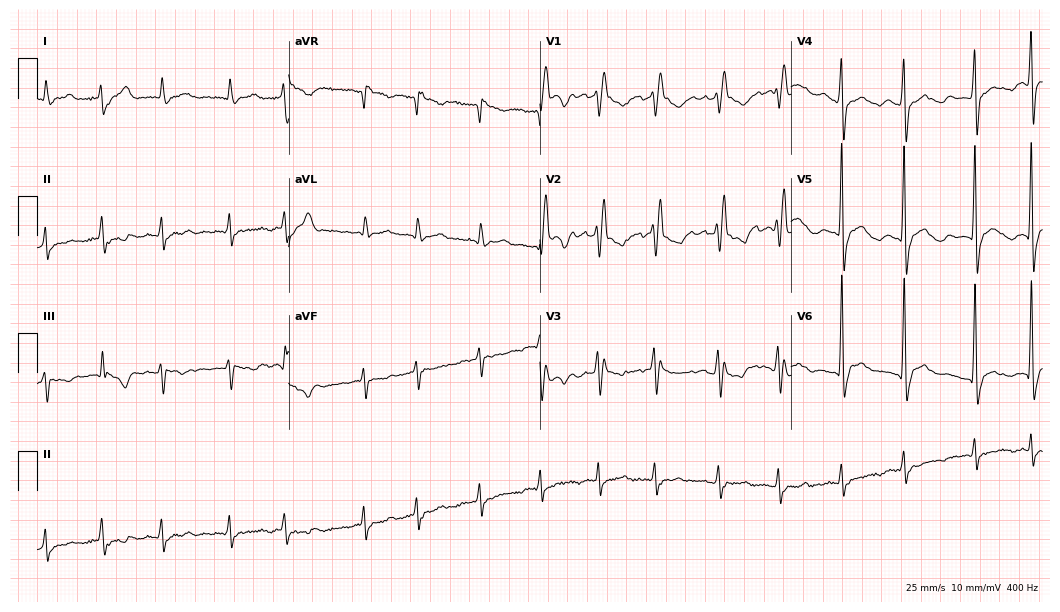
12-lead ECG (10.2-second recording at 400 Hz) from a male patient, 73 years old. Screened for six findings — first-degree AV block, right bundle branch block (RBBB), left bundle branch block (LBBB), sinus bradycardia, atrial fibrillation (AF), sinus tachycardia — none is recorded. Findings outside these six are not listed.